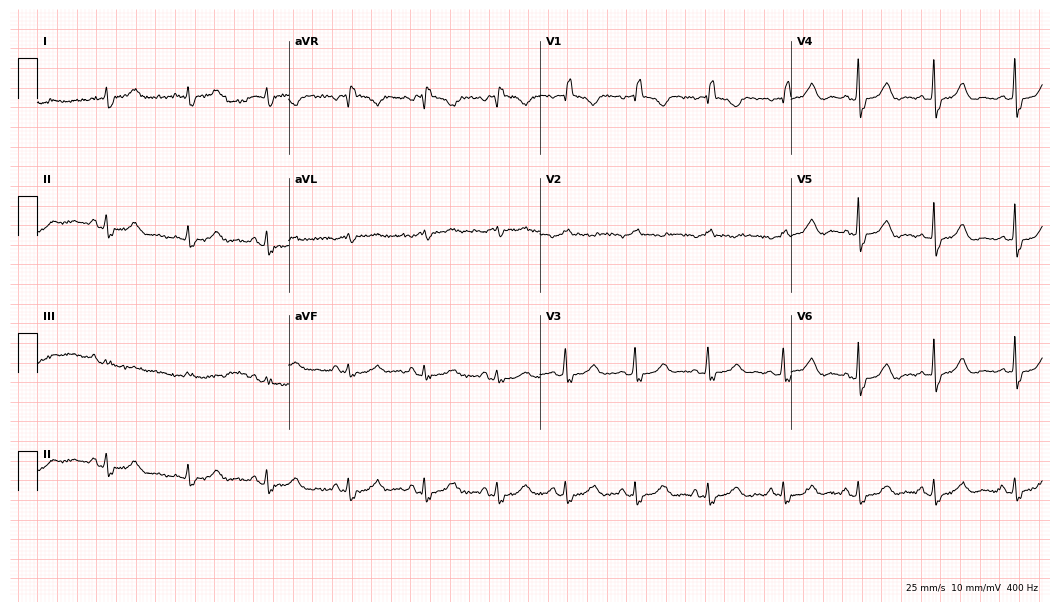
12-lead ECG from a 78-year-old woman. Shows right bundle branch block.